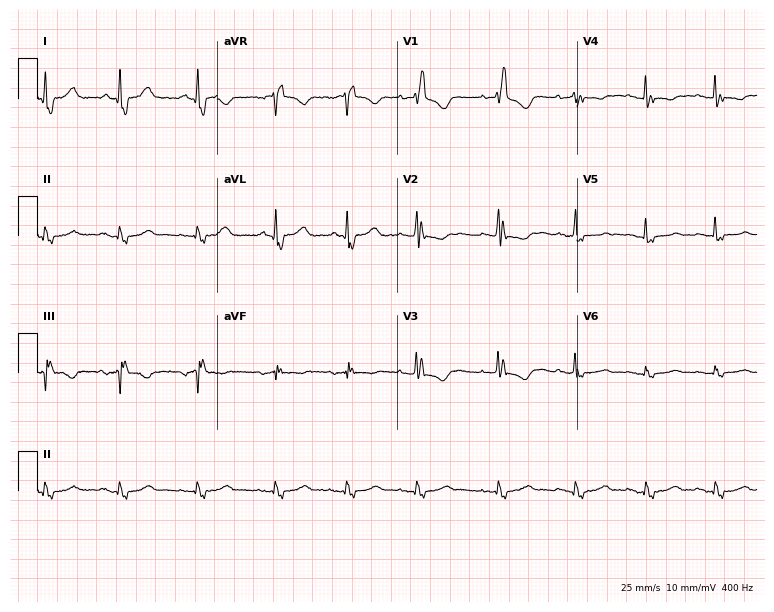
Standard 12-lead ECG recorded from a 61-year-old female patient (7.3-second recording at 400 Hz). None of these six findings is recorded: first-degree AV block, right bundle branch block, left bundle branch block, sinus bradycardia, atrial fibrillation, sinus tachycardia. Findings outside these six are not listed.